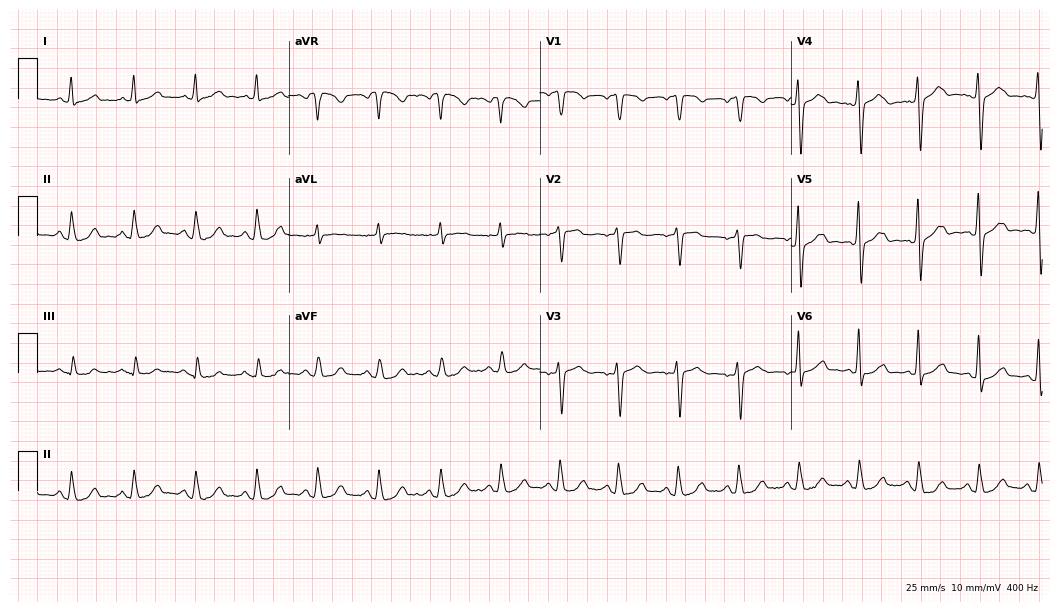
ECG (10.2-second recording at 400 Hz) — a woman, 48 years old. Labelled as a normal ECG.